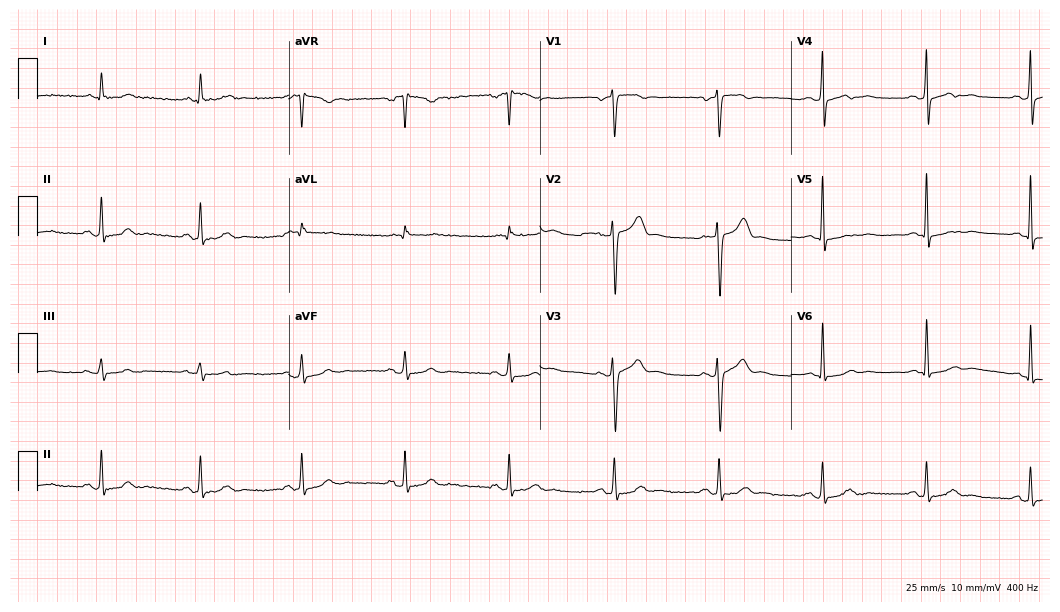
Electrocardiogram, a male, 49 years old. Overall reading on record: normal ECG.